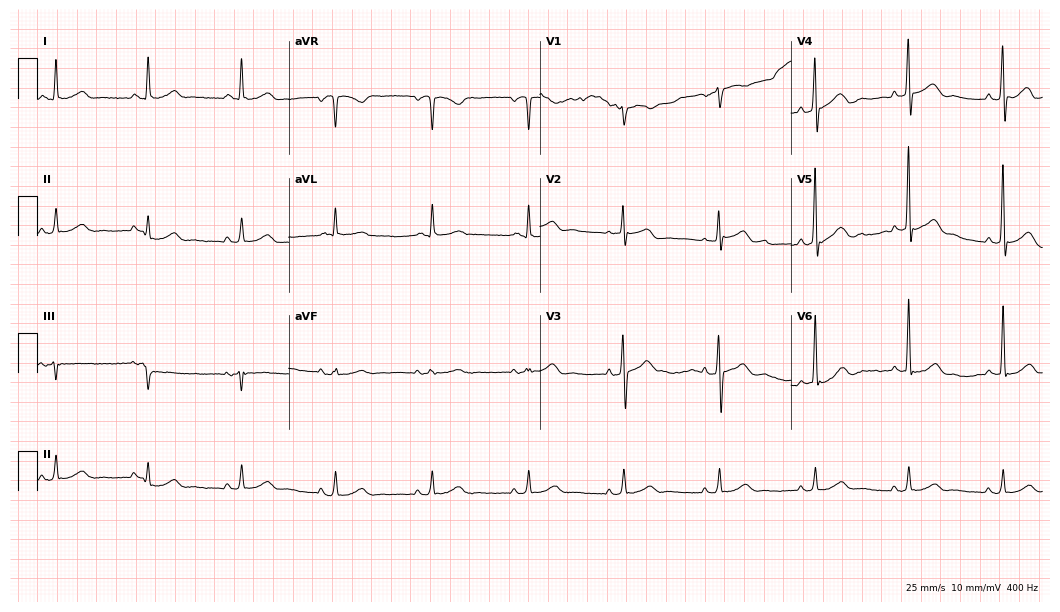
Standard 12-lead ECG recorded from a 62-year-old male patient (10.2-second recording at 400 Hz). Read as a normal ECG.